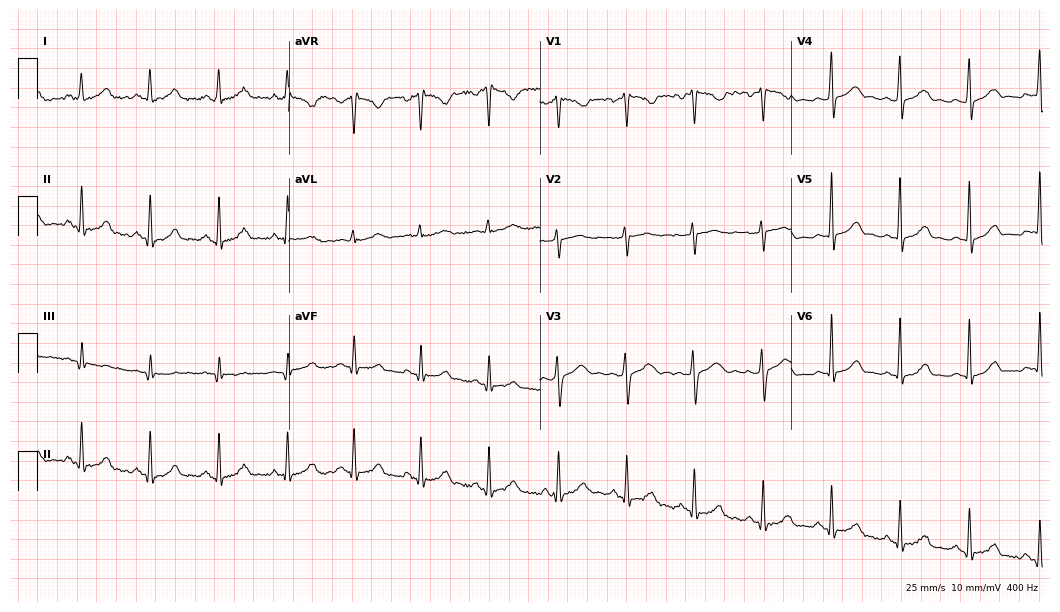
Standard 12-lead ECG recorded from a female, 18 years old (10.2-second recording at 400 Hz). Read as a normal ECG.